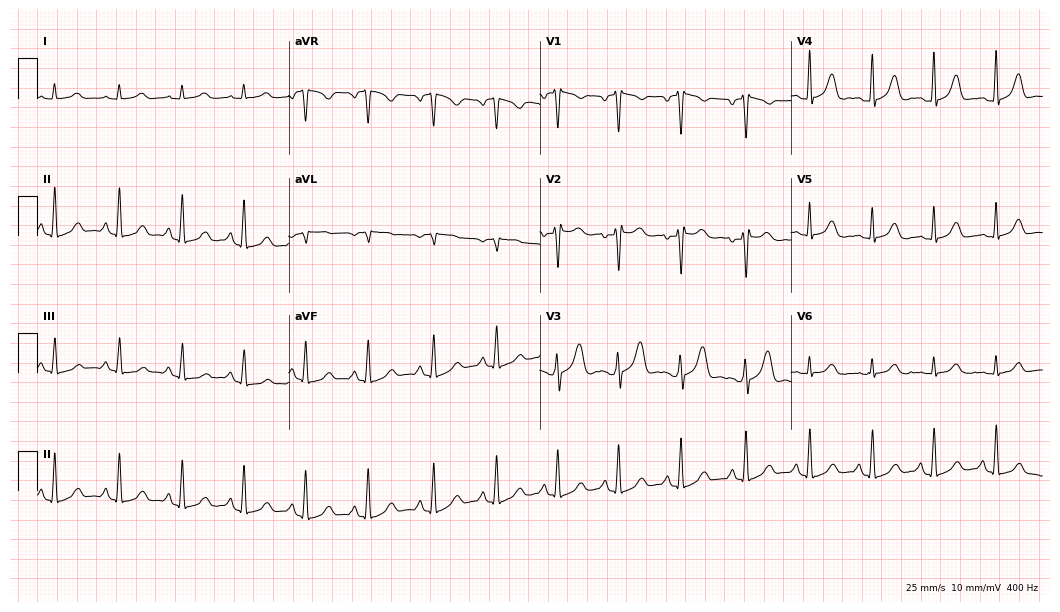
ECG (10.2-second recording at 400 Hz) — a 36-year-old woman. Screened for six findings — first-degree AV block, right bundle branch block (RBBB), left bundle branch block (LBBB), sinus bradycardia, atrial fibrillation (AF), sinus tachycardia — none is recorded. Other findings, if any, are not listed.